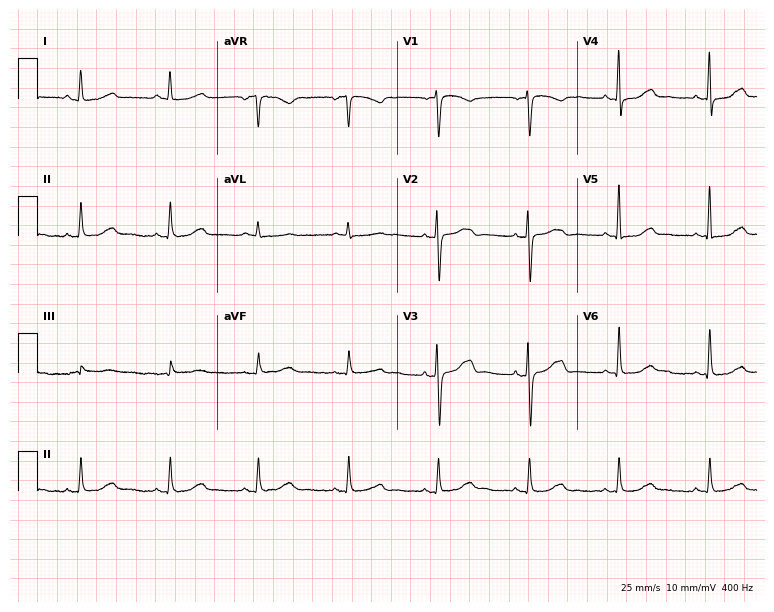
Standard 12-lead ECG recorded from an 83-year-old woman (7.3-second recording at 400 Hz). Read as a normal ECG.